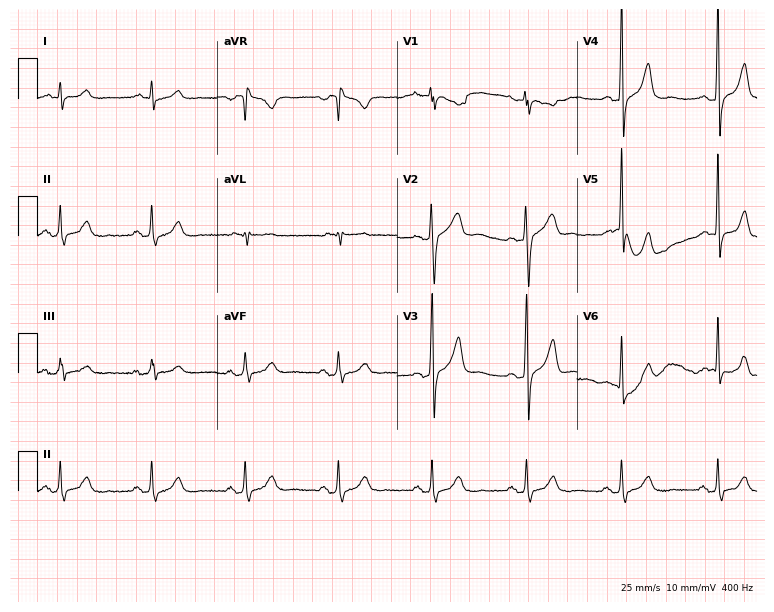
ECG — a male patient, 48 years old. Labelled as a normal ECG.